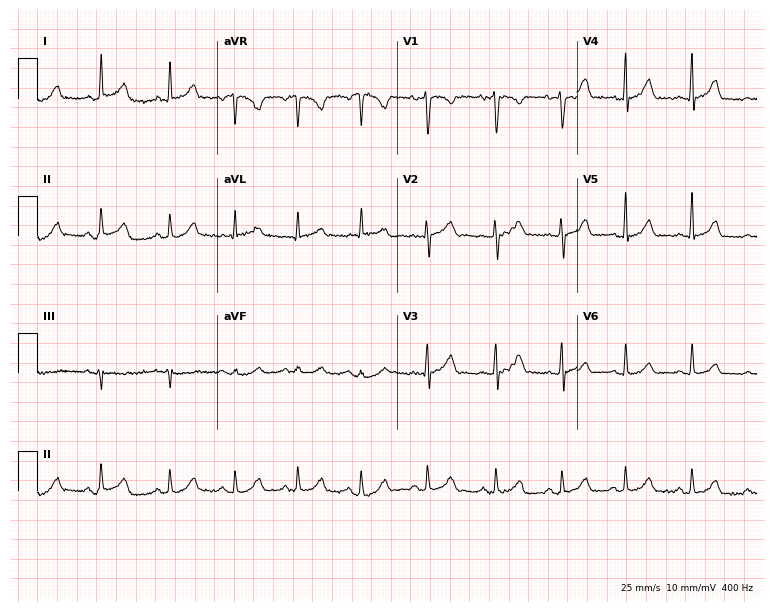
12-lead ECG from an 18-year-old female. Screened for six findings — first-degree AV block, right bundle branch block, left bundle branch block, sinus bradycardia, atrial fibrillation, sinus tachycardia — none is recorded. Only these six findings were labelled.